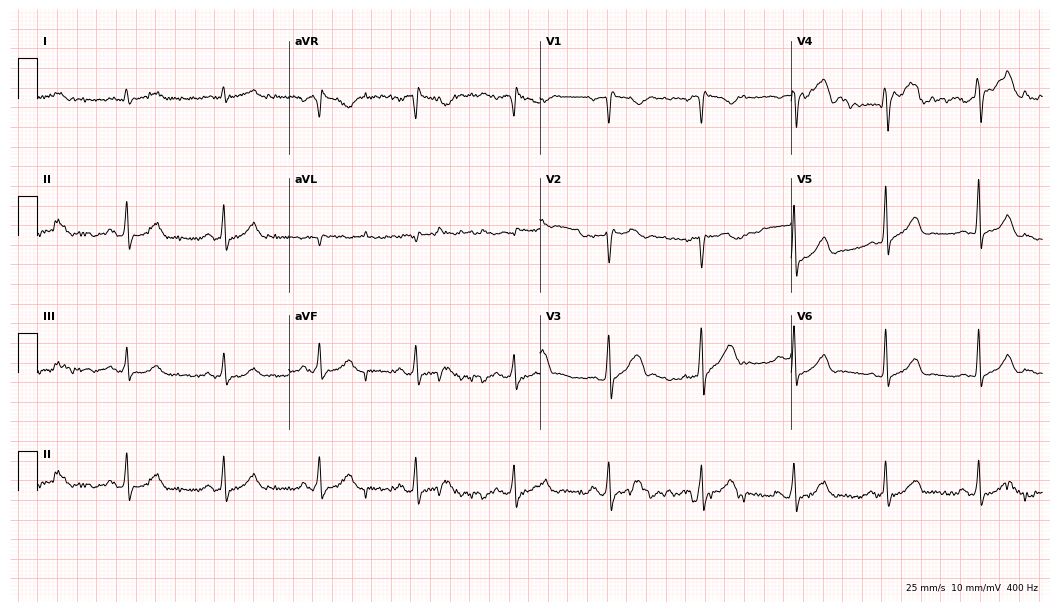
ECG — a 60-year-old female patient. Screened for six findings — first-degree AV block, right bundle branch block (RBBB), left bundle branch block (LBBB), sinus bradycardia, atrial fibrillation (AF), sinus tachycardia — none is recorded. Other findings, if any, are not listed.